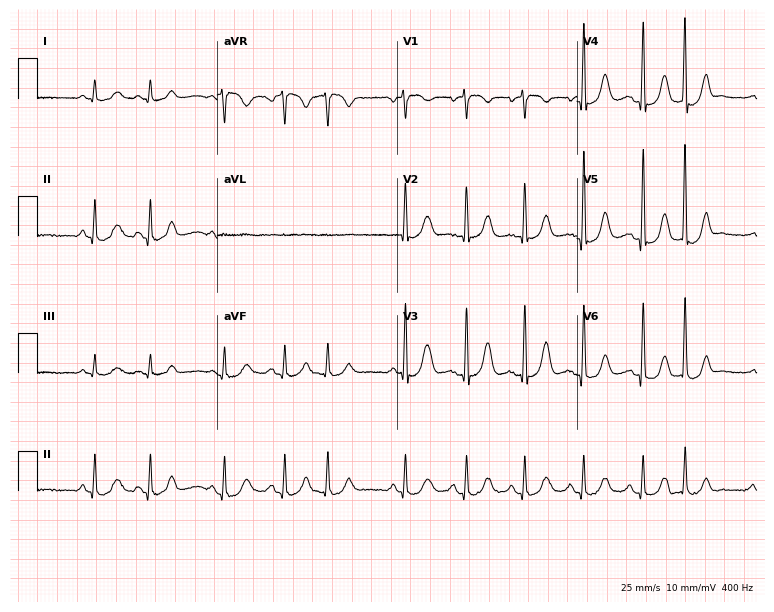
Electrocardiogram (7.3-second recording at 400 Hz), a 77-year-old female. Of the six screened findings (first-degree AV block, right bundle branch block, left bundle branch block, sinus bradycardia, atrial fibrillation, sinus tachycardia), none is recorded. Only these six findings were labelled.